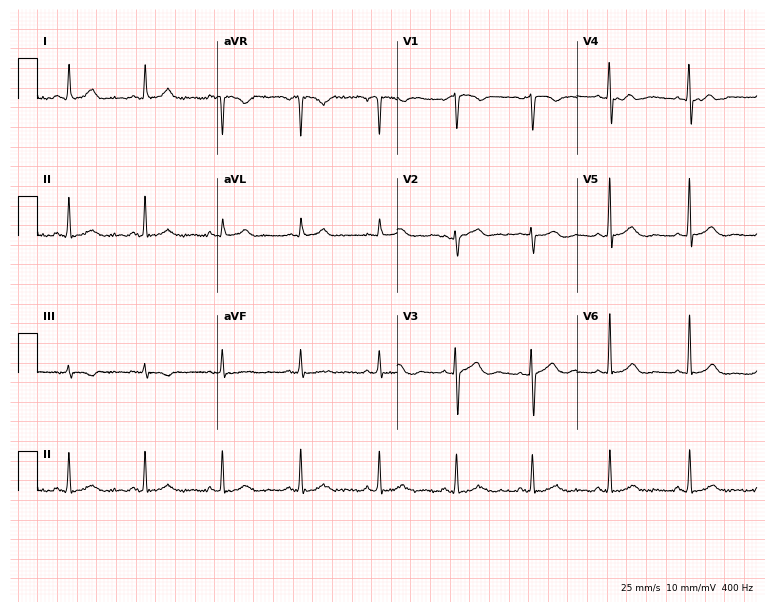
12-lead ECG (7.3-second recording at 400 Hz) from a 39-year-old woman. Labelled as a normal ECG.